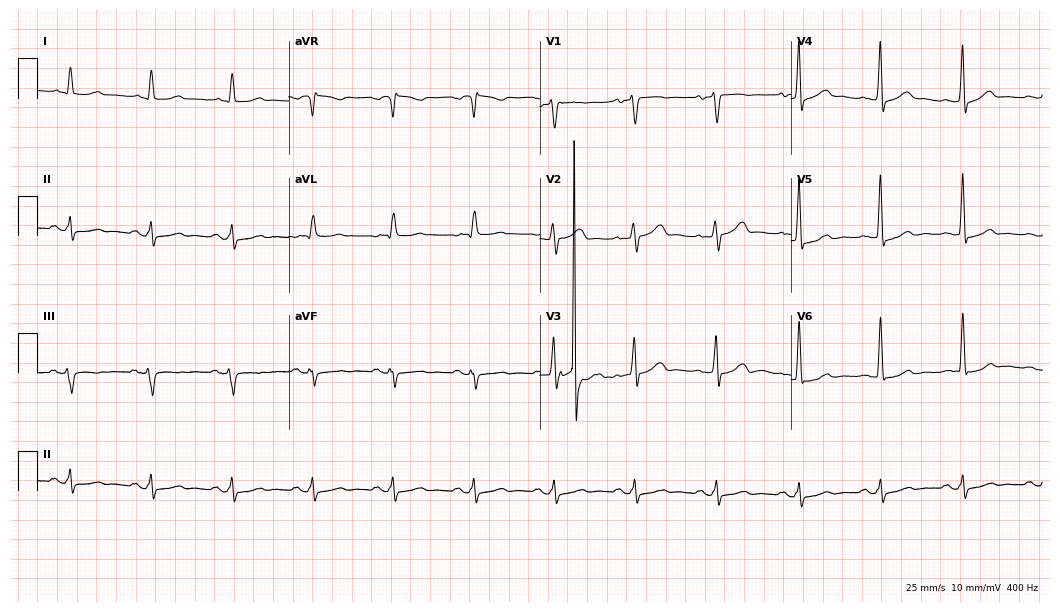
12-lead ECG (10.2-second recording at 400 Hz) from a male patient, 51 years old. Screened for six findings — first-degree AV block, right bundle branch block, left bundle branch block, sinus bradycardia, atrial fibrillation, sinus tachycardia — none is recorded.